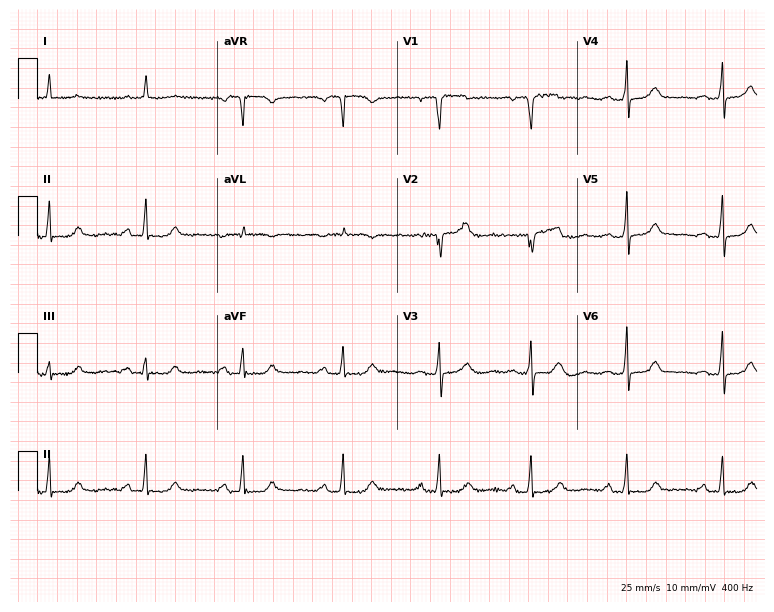
Resting 12-lead electrocardiogram (7.3-second recording at 400 Hz). Patient: a female, 66 years old. Read as a normal ECG.